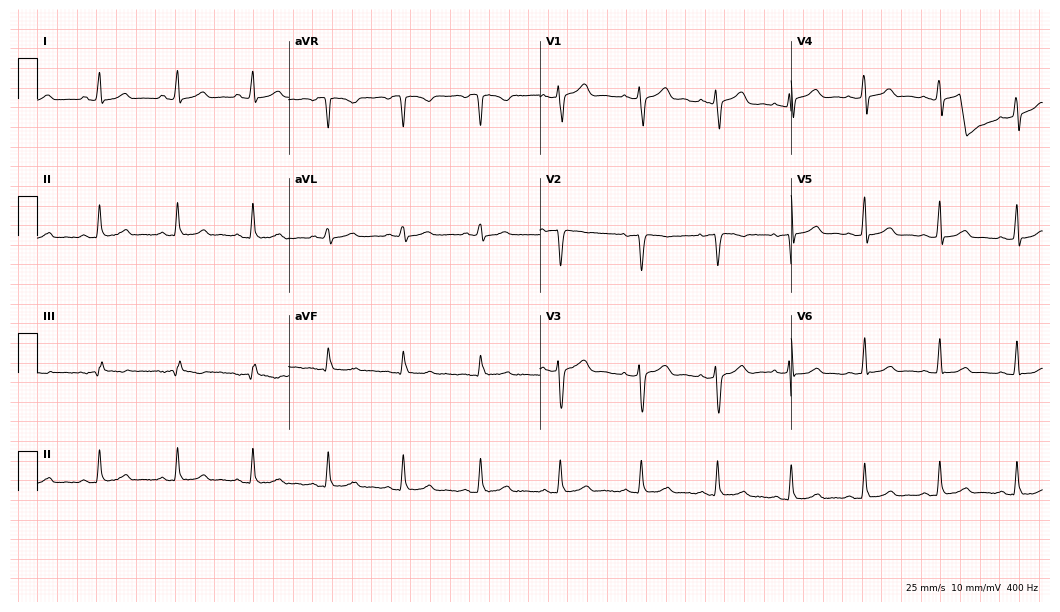
Standard 12-lead ECG recorded from a 33-year-old female patient (10.2-second recording at 400 Hz). Read as a normal ECG.